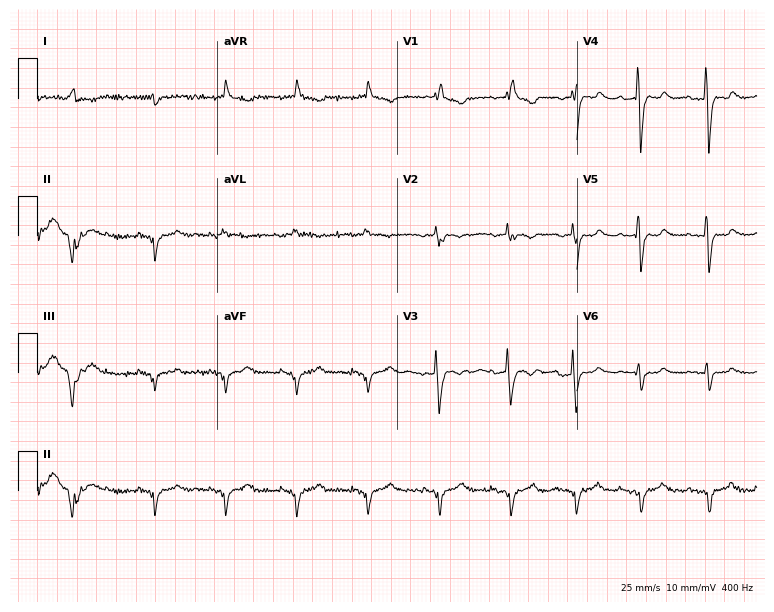
12-lead ECG (7.3-second recording at 400 Hz) from a 71-year-old man. Screened for six findings — first-degree AV block, right bundle branch block (RBBB), left bundle branch block (LBBB), sinus bradycardia, atrial fibrillation (AF), sinus tachycardia — none is recorded.